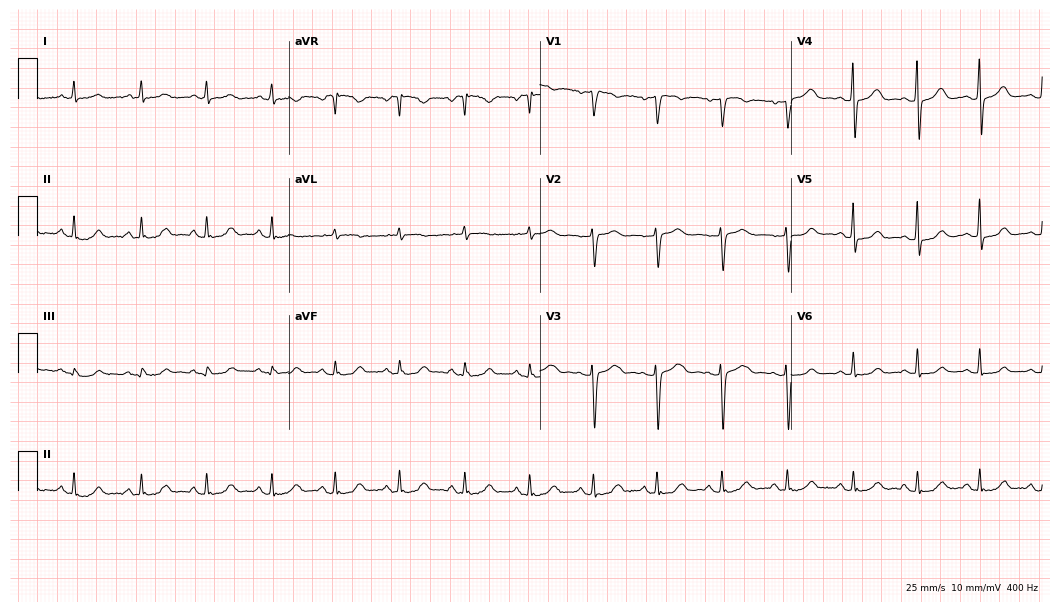
ECG (10.2-second recording at 400 Hz) — a 46-year-old woman. Labelled as a normal ECG.